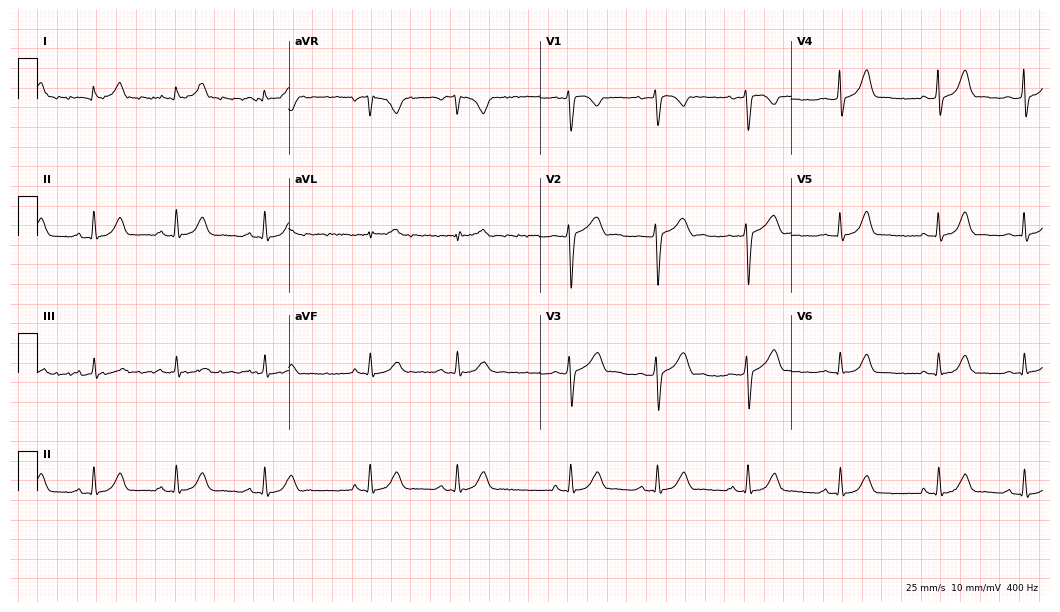
Standard 12-lead ECG recorded from a 41-year-old female (10.2-second recording at 400 Hz). None of these six findings is recorded: first-degree AV block, right bundle branch block, left bundle branch block, sinus bradycardia, atrial fibrillation, sinus tachycardia.